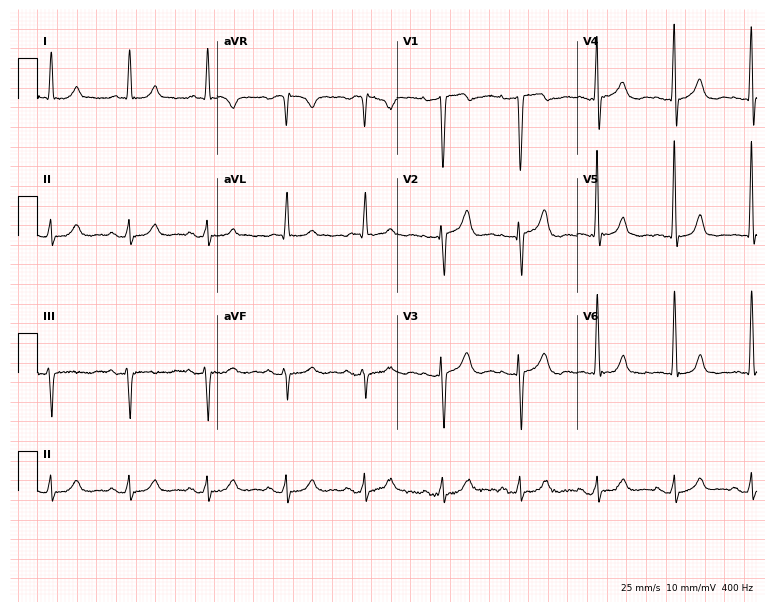
12-lead ECG (7.3-second recording at 400 Hz) from a male patient, 84 years old. Labelled as a normal ECG.